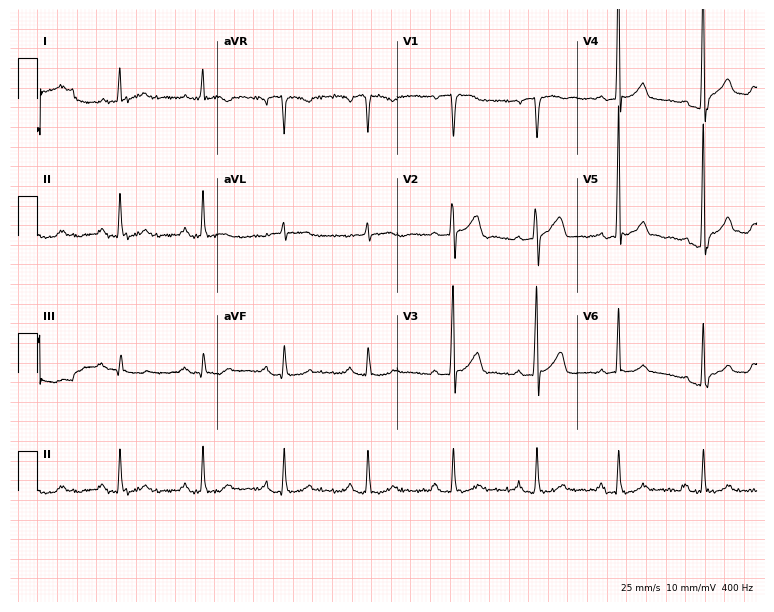
12-lead ECG (7.3-second recording at 400 Hz) from a male, 70 years old. Screened for six findings — first-degree AV block, right bundle branch block, left bundle branch block, sinus bradycardia, atrial fibrillation, sinus tachycardia — none is recorded. Other findings, if any, are not listed.